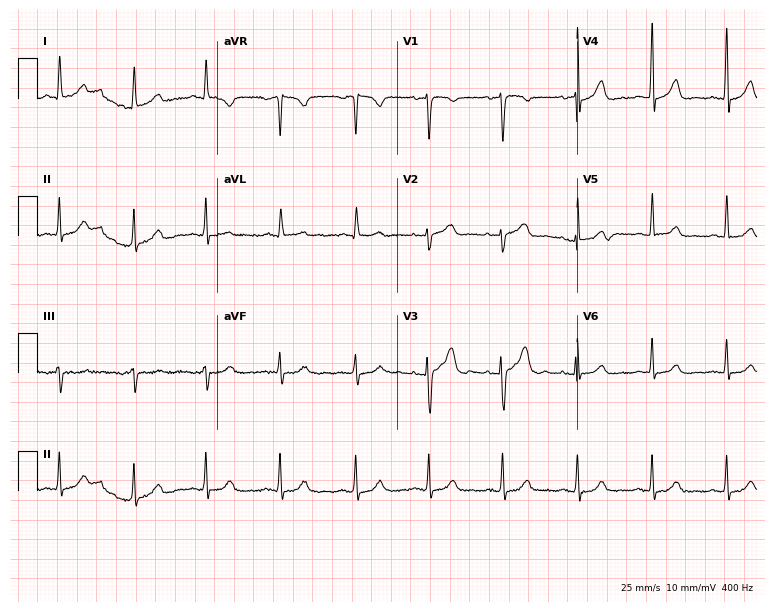
Electrocardiogram, a 52-year-old female. Of the six screened findings (first-degree AV block, right bundle branch block, left bundle branch block, sinus bradycardia, atrial fibrillation, sinus tachycardia), none is recorded.